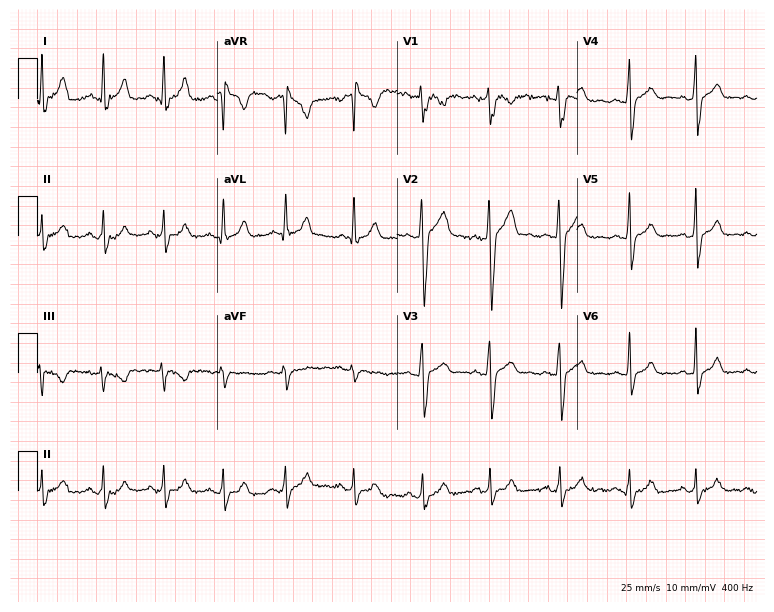
12-lead ECG from a 26-year-old male. No first-degree AV block, right bundle branch block, left bundle branch block, sinus bradycardia, atrial fibrillation or sinus tachycardia recorded for this tracing. Only these six findings were labelled.